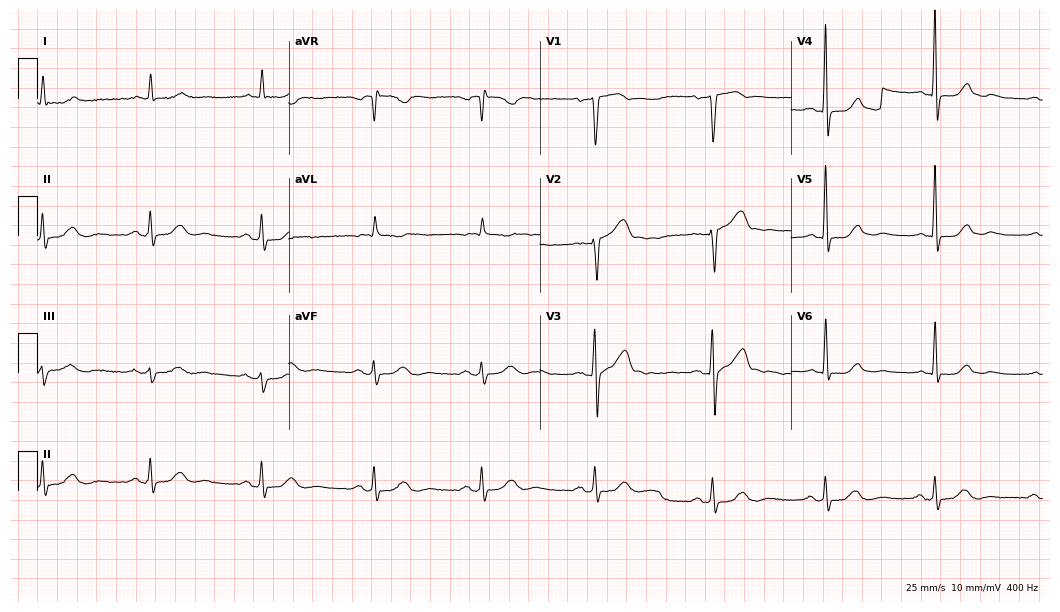
Resting 12-lead electrocardiogram (10.2-second recording at 400 Hz). Patient: a male, 69 years old. Read as a normal ECG.